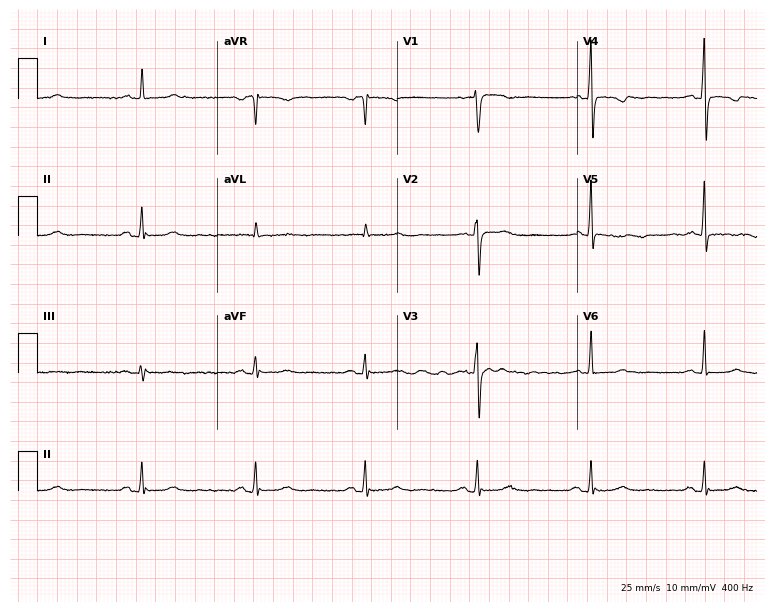
Electrocardiogram, a 61-year-old female patient. Of the six screened findings (first-degree AV block, right bundle branch block (RBBB), left bundle branch block (LBBB), sinus bradycardia, atrial fibrillation (AF), sinus tachycardia), none is recorded. Only these six findings were labelled.